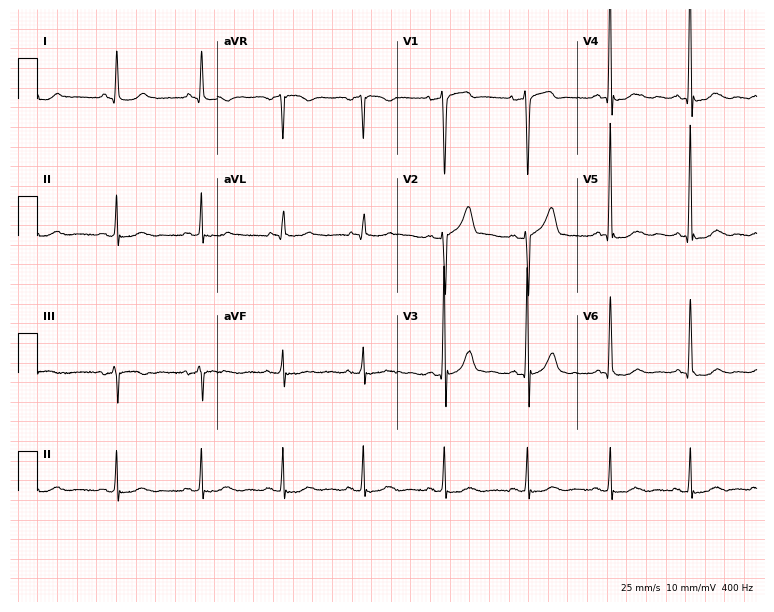
12-lead ECG from a male patient, 60 years old. Screened for six findings — first-degree AV block, right bundle branch block, left bundle branch block, sinus bradycardia, atrial fibrillation, sinus tachycardia — none is recorded. Only these six findings were labelled.